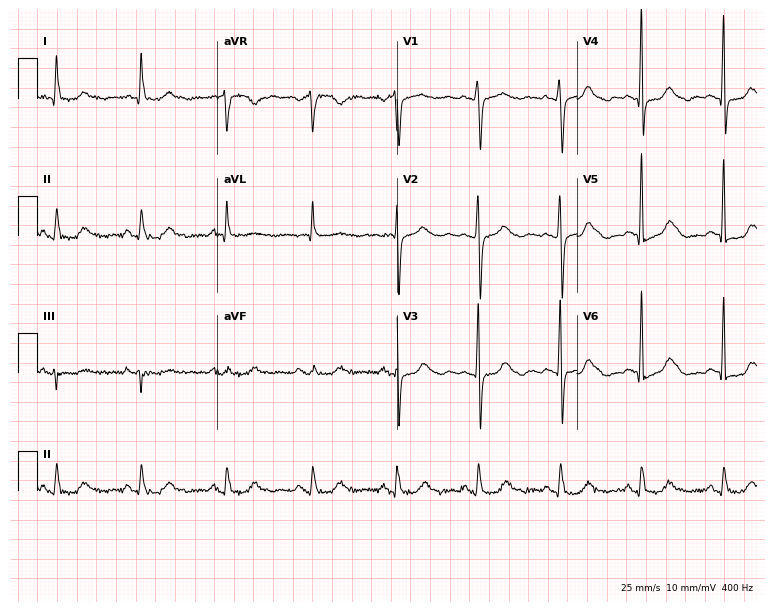
12-lead ECG from a female patient, 74 years old. Labelled as a normal ECG.